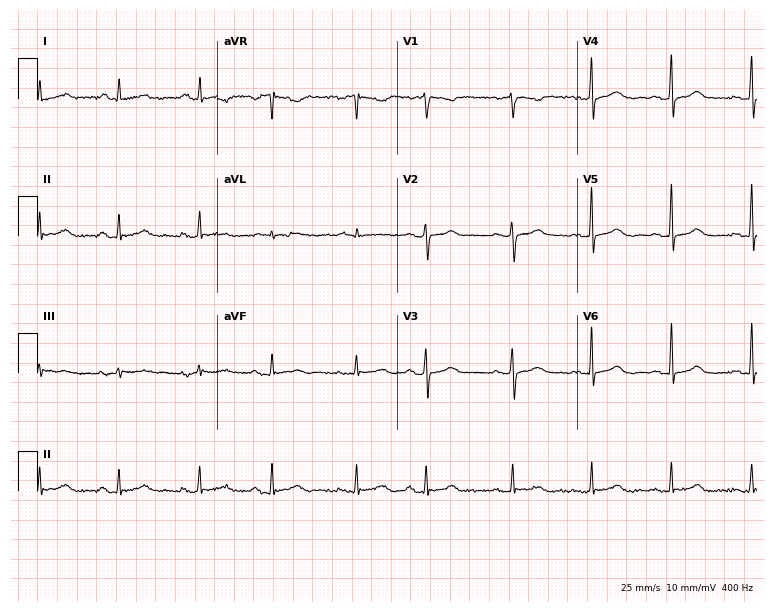
Resting 12-lead electrocardiogram. Patient: a 72-year-old woman. Read as a normal ECG.